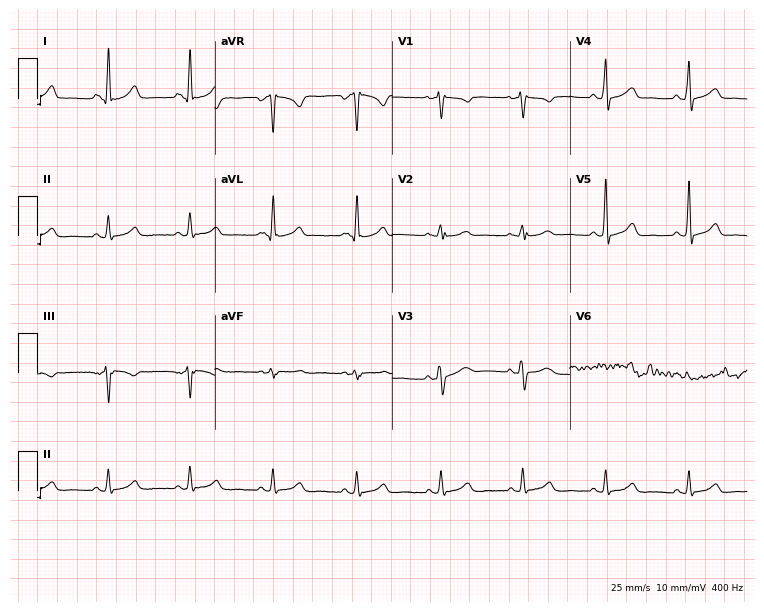
Resting 12-lead electrocardiogram. Patient: a 42-year-old woman. Read as a normal ECG.